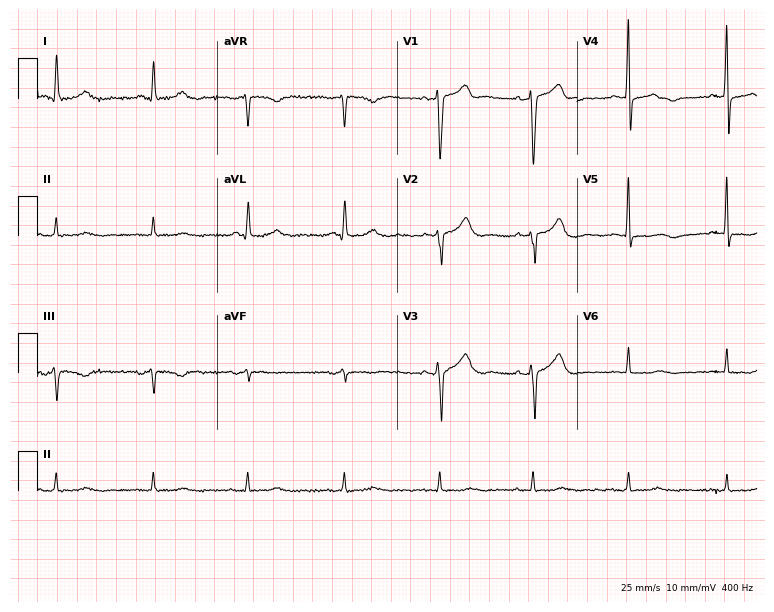
Electrocardiogram (7.3-second recording at 400 Hz), a male, 68 years old. Of the six screened findings (first-degree AV block, right bundle branch block, left bundle branch block, sinus bradycardia, atrial fibrillation, sinus tachycardia), none is recorded. Findings outside these six are not listed.